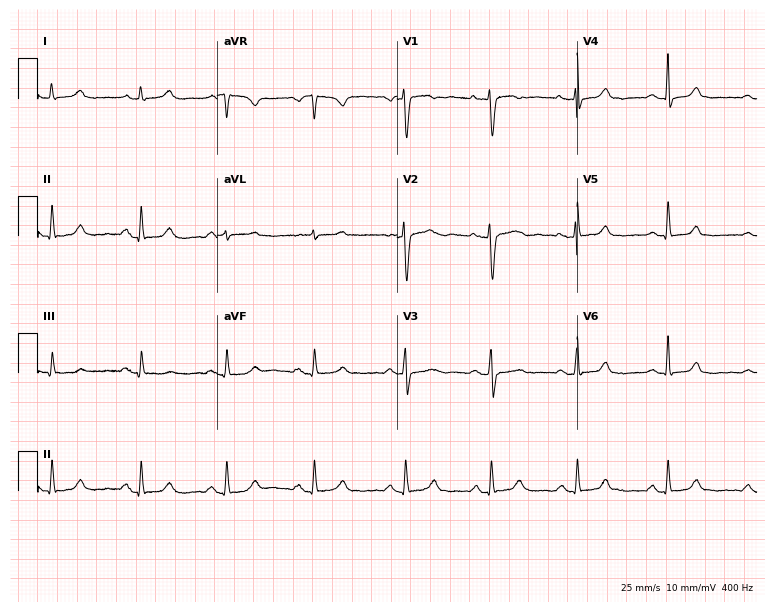
Resting 12-lead electrocardiogram (7.3-second recording at 400 Hz). Patient: a female, 31 years old. None of these six findings is recorded: first-degree AV block, right bundle branch block, left bundle branch block, sinus bradycardia, atrial fibrillation, sinus tachycardia. Only these six findings were labelled.